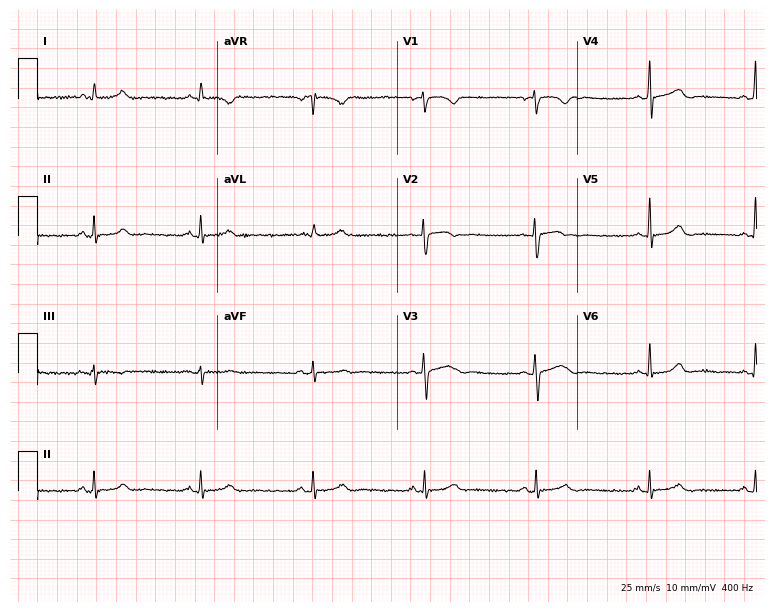
Resting 12-lead electrocardiogram (7.3-second recording at 400 Hz). Patient: a female, 40 years old. None of these six findings is recorded: first-degree AV block, right bundle branch block, left bundle branch block, sinus bradycardia, atrial fibrillation, sinus tachycardia.